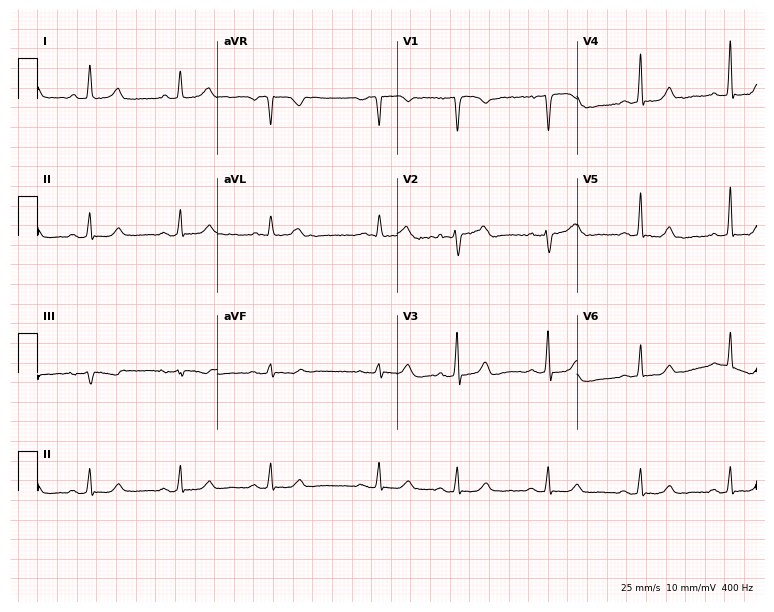
Standard 12-lead ECG recorded from a 64-year-old female. None of these six findings is recorded: first-degree AV block, right bundle branch block, left bundle branch block, sinus bradycardia, atrial fibrillation, sinus tachycardia. Findings outside these six are not listed.